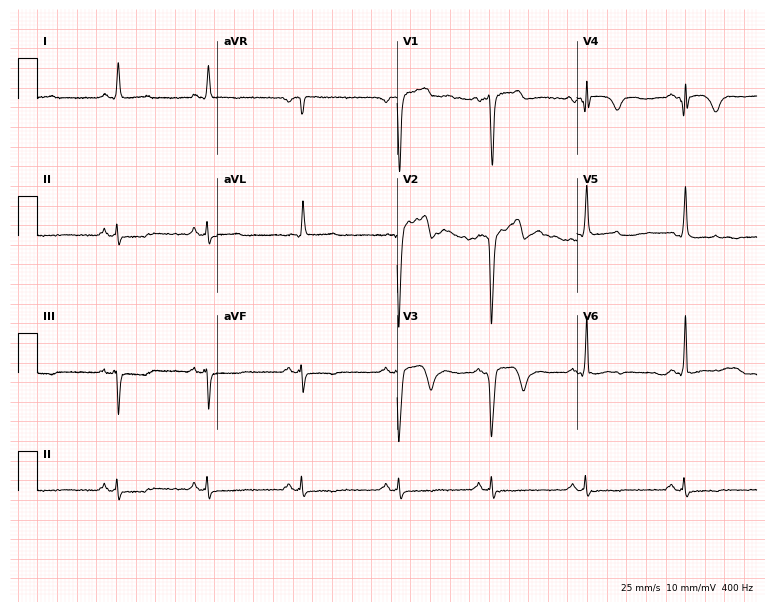
12-lead ECG (7.3-second recording at 400 Hz) from a man, 73 years old. Screened for six findings — first-degree AV block, right bundle branch block (RBBB), left bundle branch block (LBBB), sinus bradycardia, atrial fibrillation (AF), sinus tachycardia — none is recorded. Only these six findings were labelled.